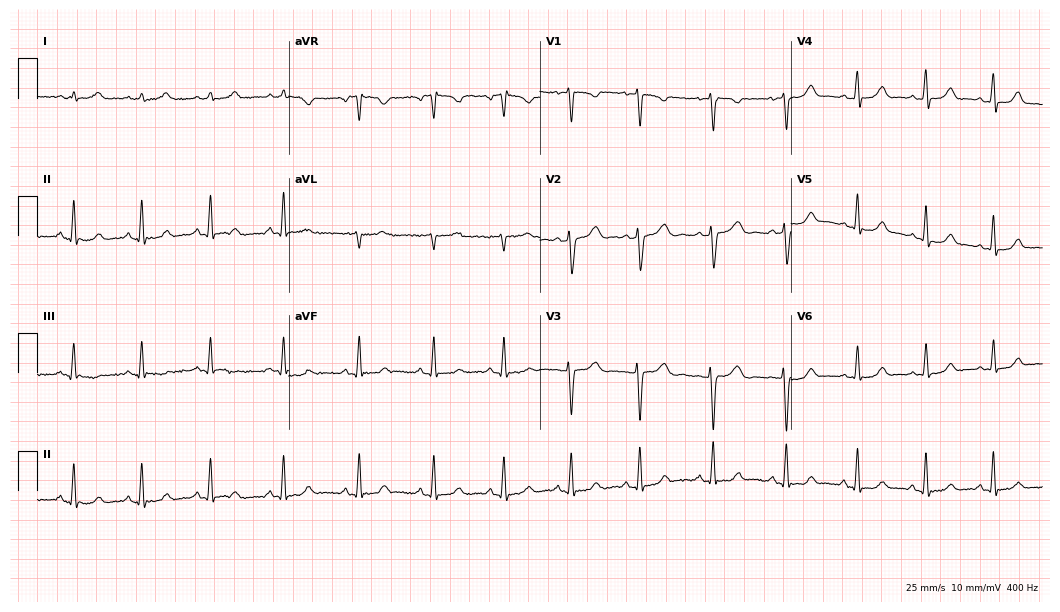
Electrocardiogram, a 19-year-old female. Of the six screened findings (first-degree AV block, right bundle branch block, left bundle branch block, sinus bradycardia, atrial fibrillation, sinus tachycardia), none is recorded. Other findings, if any, are not listed.